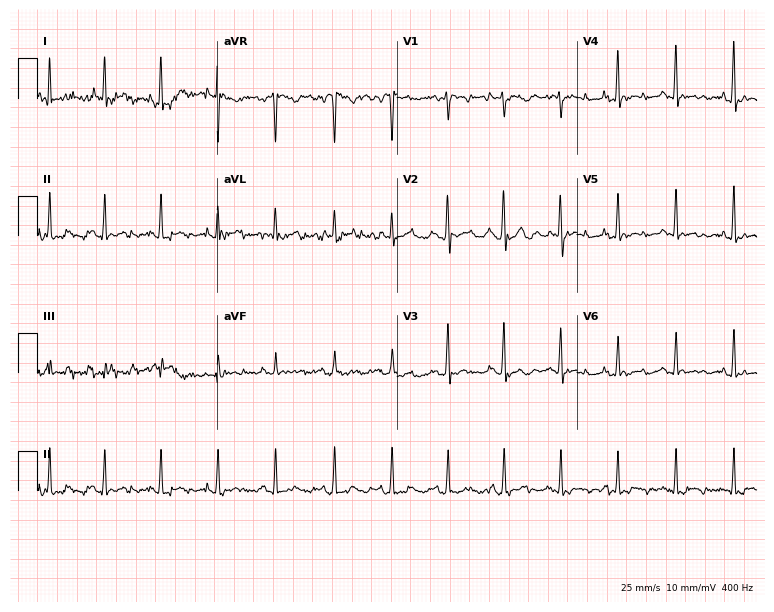
Standard 12-lead ECG recorded from a female patient, 51 years old. The tracing shows sinus tachycardia (a sinus rate of 100 beats per minute or more).